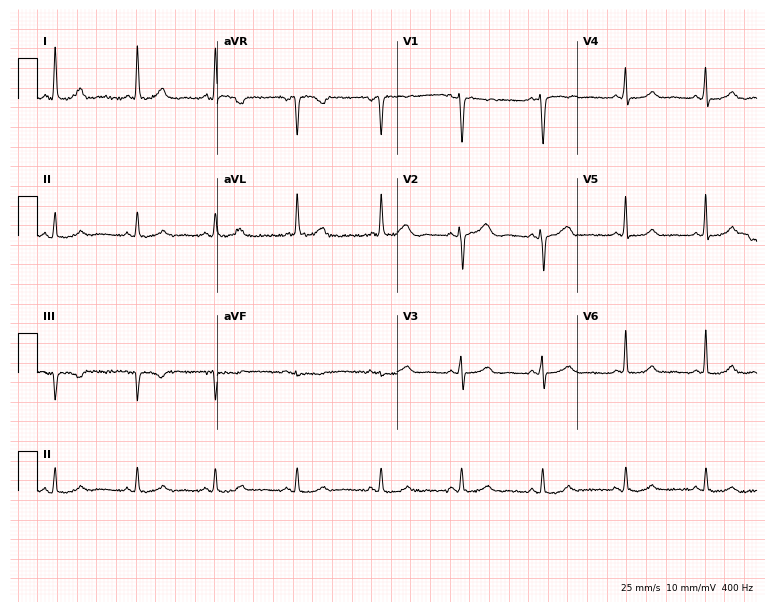
12-lead ECG from a 60-year-old female (7.3-second recording at 400 Hz). Recorded interpretation: within normal limits.